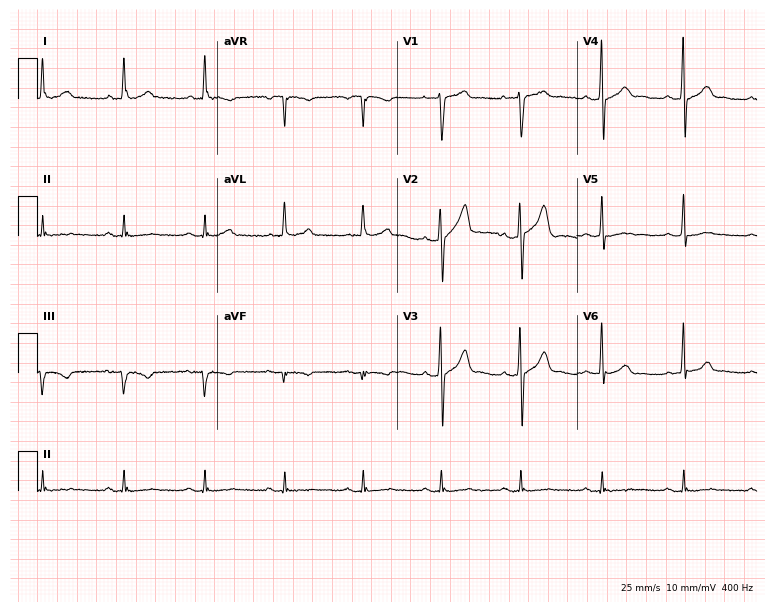
Standard 12-lead ECG recorded from a 62-year-old male (7.3-second recording at 400 Hz). Read as a normal ECG.